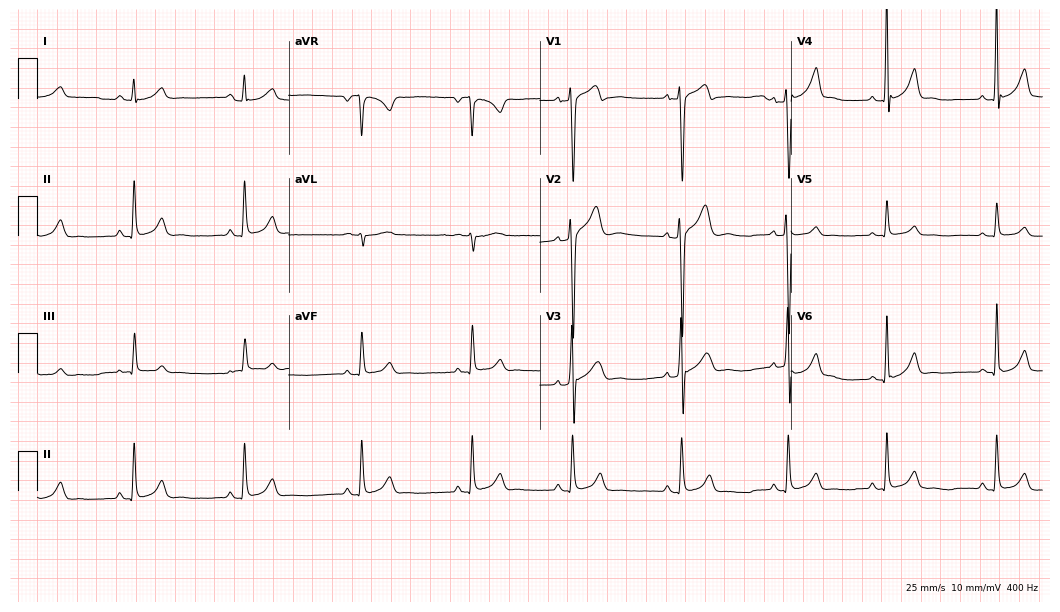
12-lead ECG from a man, 27 years old. Recorded interpretation: within normal limits.